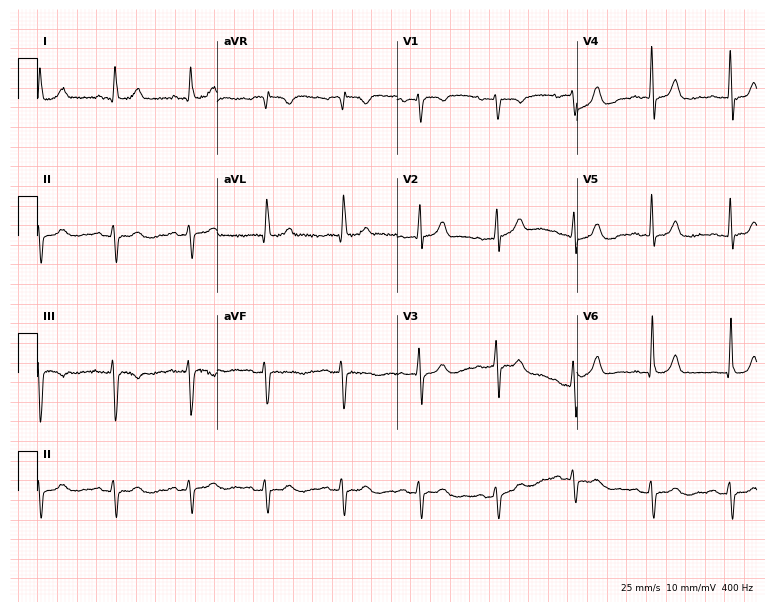
12-lead ECG from a female patient, 78 years old. No first-degree AV block, right bundle branch block, left bundle branch block, sinus bradycardia, atrial fibrillation or sinus tachycardia recorded for this tracing. Findings outside these six are not listed.